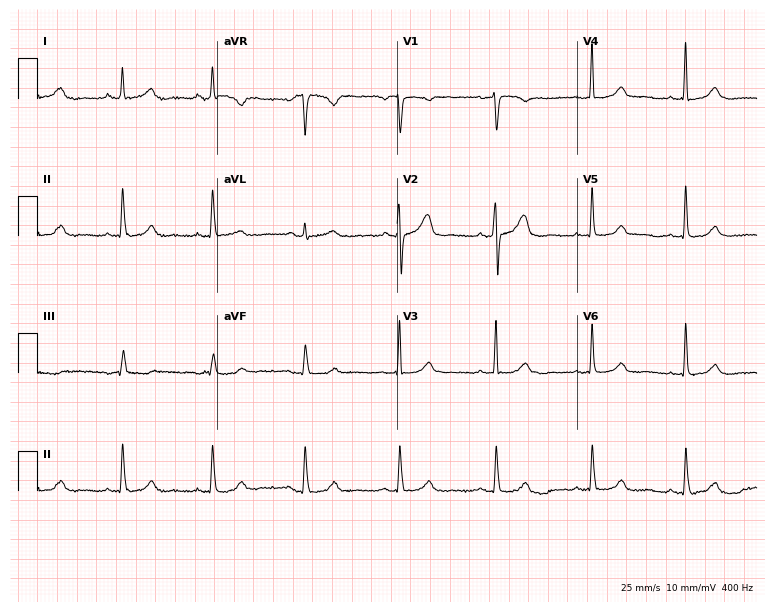
12-lead ECG (7.3-second recording at 400 Hz) from a female, 47 years old. Labelled as a normal ECG.